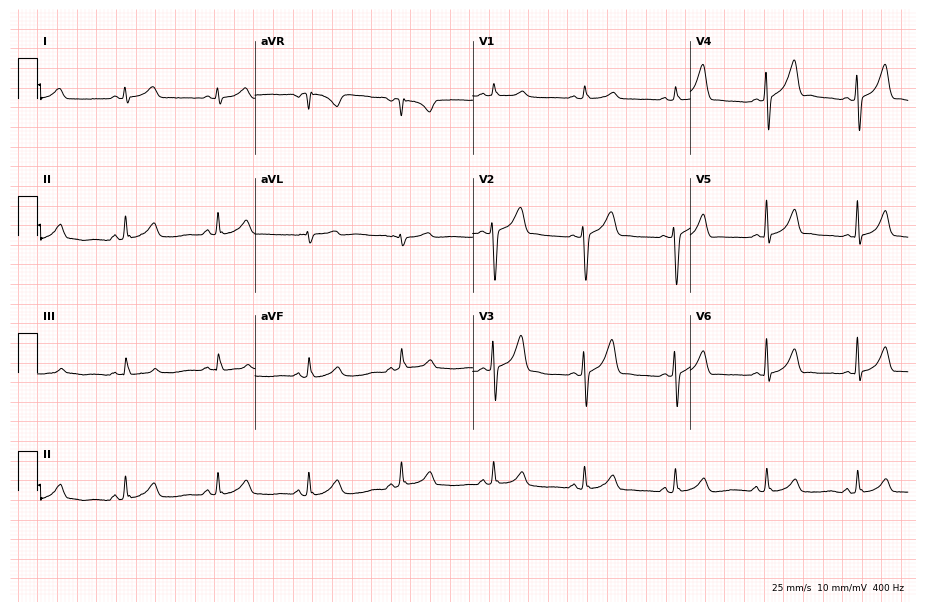
Standard 12-lead ECG recorded from a 67-year-old male patient. Read as a normal ECG.